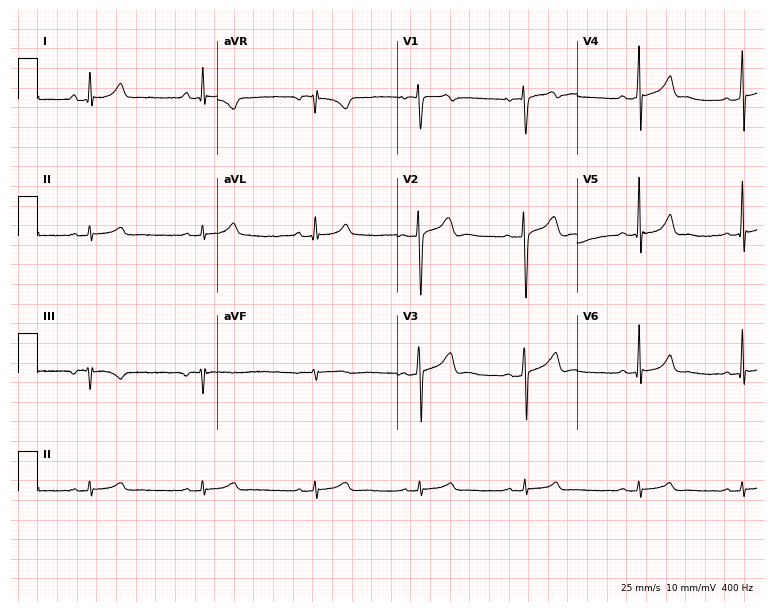
Standard 12-lead ECG recorded from a male, 20 years old. Read as a normal ECG.